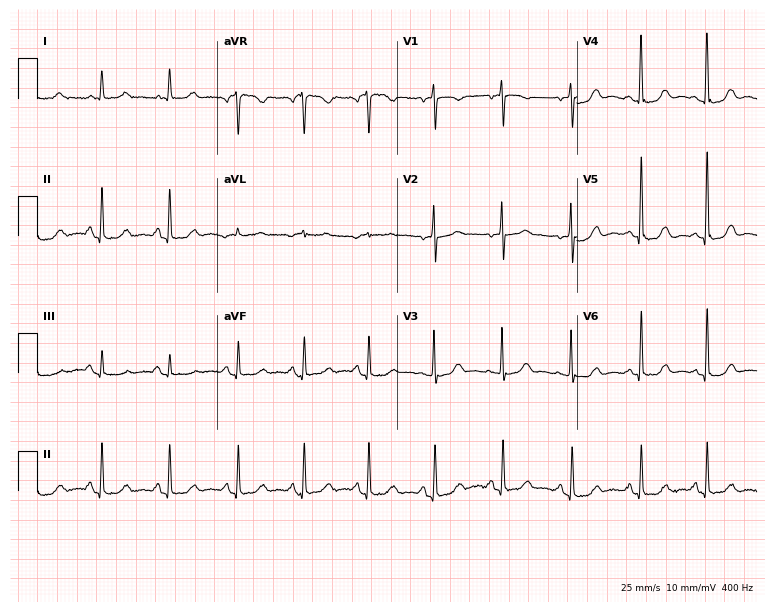
12-lead ECG from a female, 67 years old. Labelled as a normal ECG.